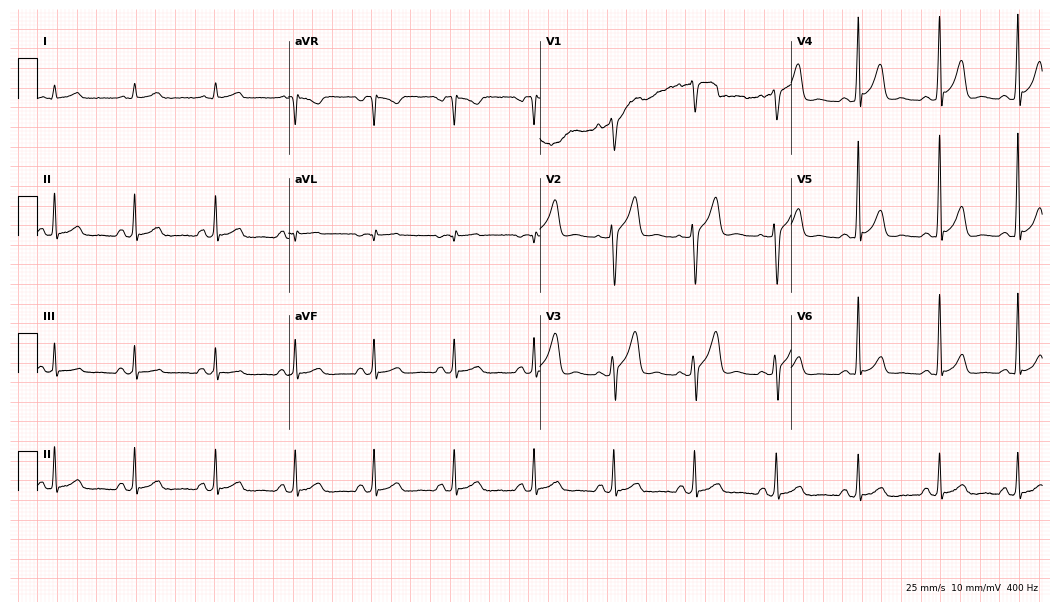
Resting 12-lead electrocardiogram (10.2-second recording at 400 Hz). Patient: a male, 59 years old. None of these six findings is recorded: first-degree AV block, right bundle branch block, left bundle branch block, sinus bradycardia, atrial fibrillation, sinus tachycardia.